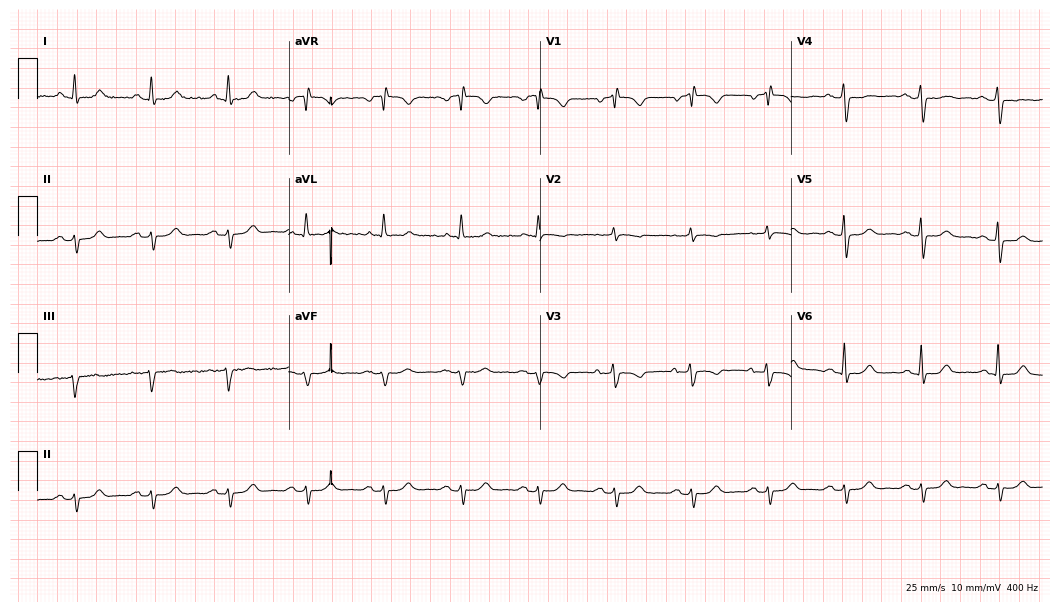
12-lead ECG from a 67-year-old woman (10.2-second recording at 400 Hz). No first-degree AV block, right bundle branch block (RBBB), left bundle branch block (LBBB), sinus bradycardia, atrial fibrillation (AF) or sinus tachycardia recorded for this tracing.